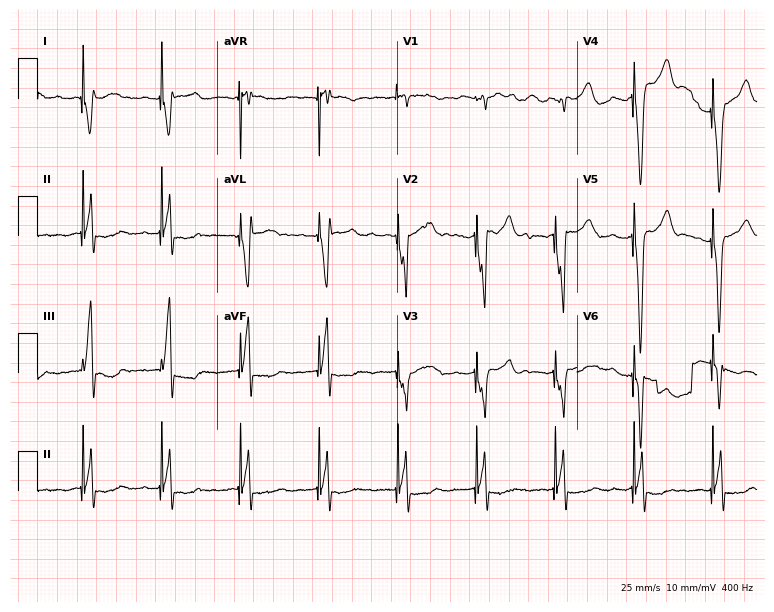
12-lead ECG from a female patient, 77 years old (7.3-second recording at 400 Hz). No first-degree AV block, right bundle branch block, left bundle branch block, sinus bradycardia, atrial fibrillation or sinus tachycardia recorded for this tracing. Other findings, if any, are not listed.